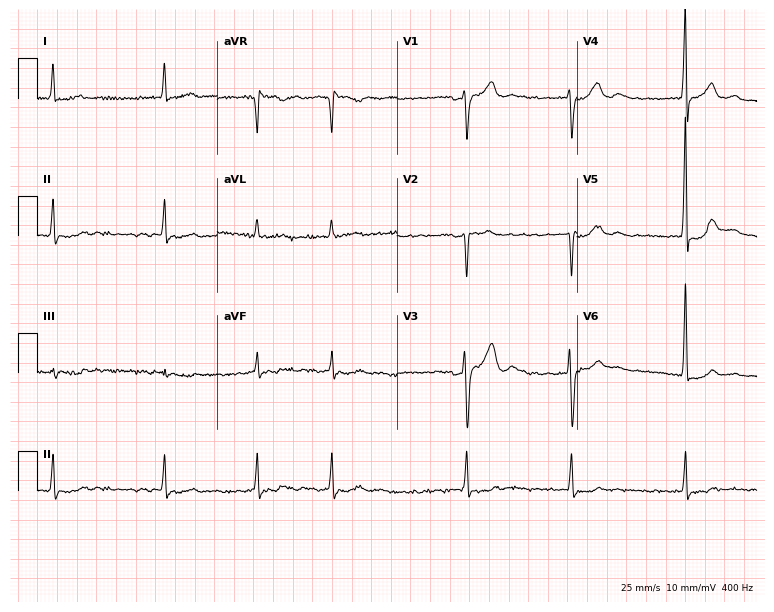
12-lead ECG from a 69-year-old male (7.3-second recording at 400 Hz). Shows atrial fibrillation.